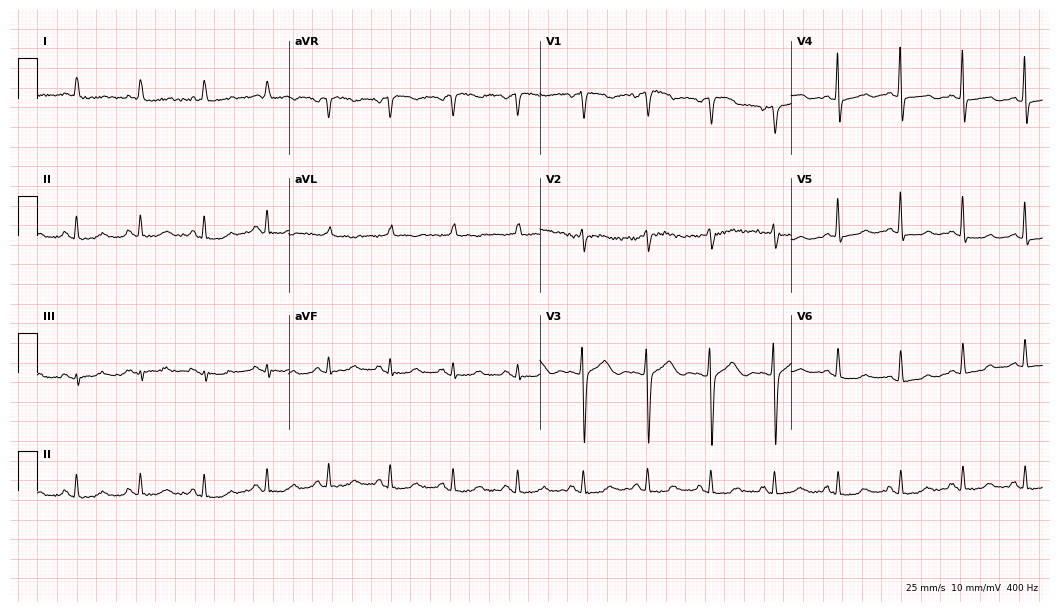
Electrocardiogram, a female, 81 years old. Overall reading on record: normal ECG.